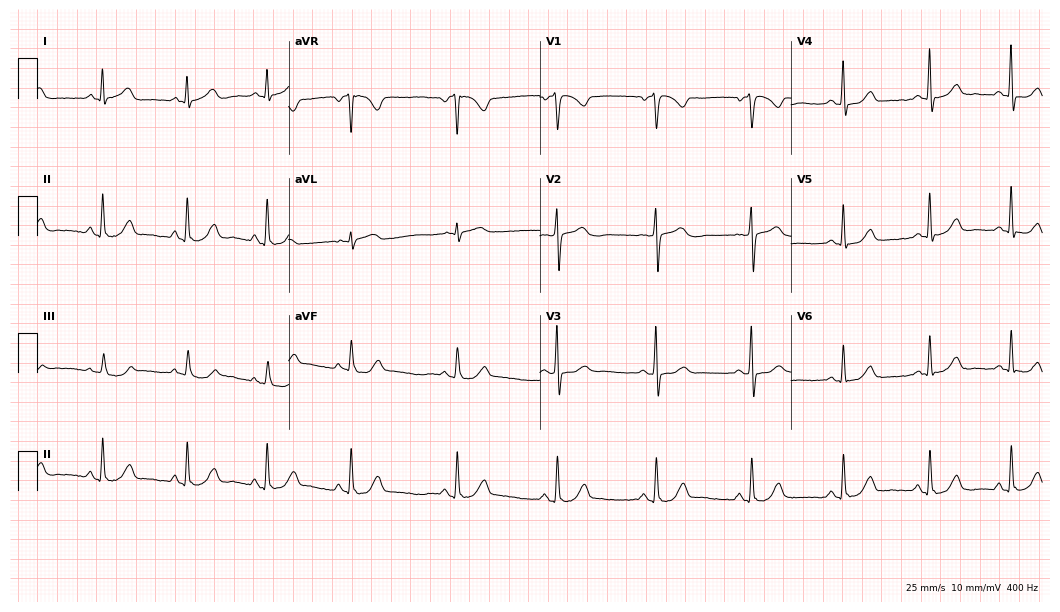
Electrocardiogram, a female, 49 years old. Overall reading on record: normal ECG.